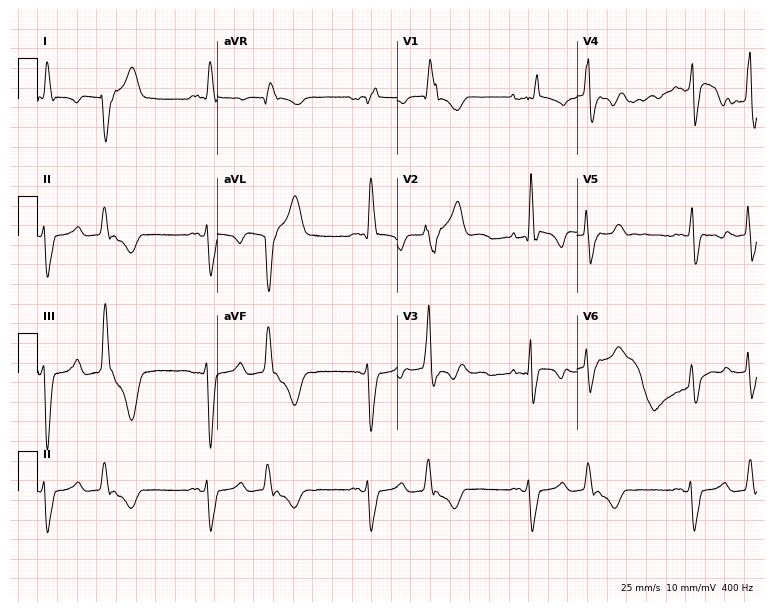
ECG (7.3-second recording at 400 Hz) — a 29-year-old man. Findings include right bundle branch block, atrial fibrillation.